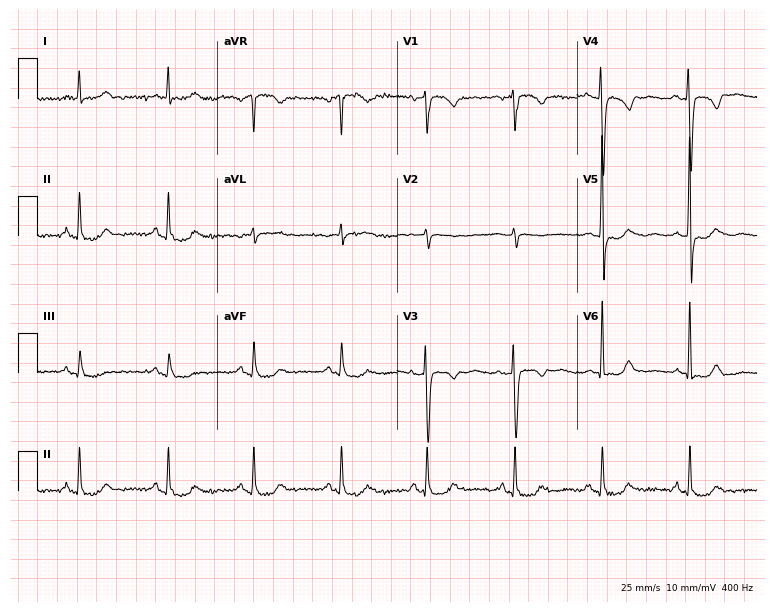
12-lead ECG (7.3-second recording at 400 Hz) from a female patient, 56 years old. Screened for six findings — first-degree AV block, right bundle branch block (RBBB), left bundle branch block (LBBB), sinus bradycardia, atrial fibrillation (AF), sinus tachycardia — none is recorded.